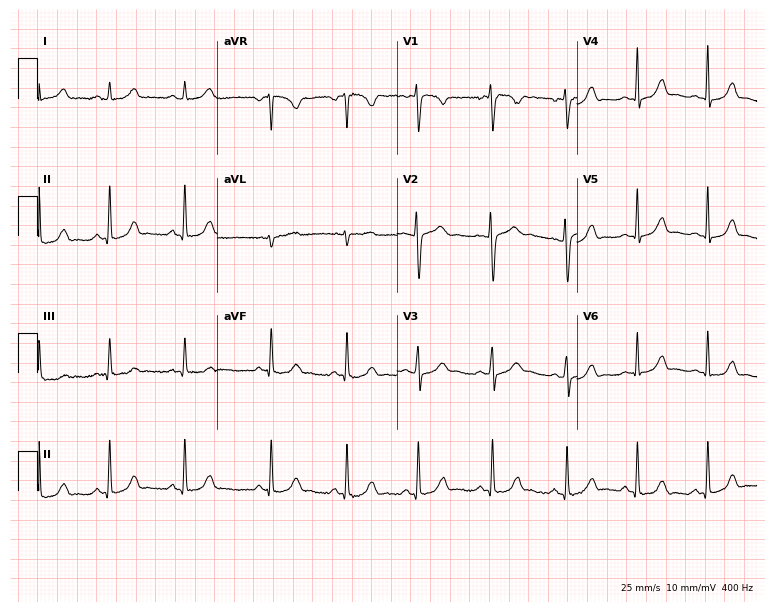
Standard 12-lead ECG recorded from a female, 20 years old (7.3-second recording at 400 Hz). Read as a normal ECG.